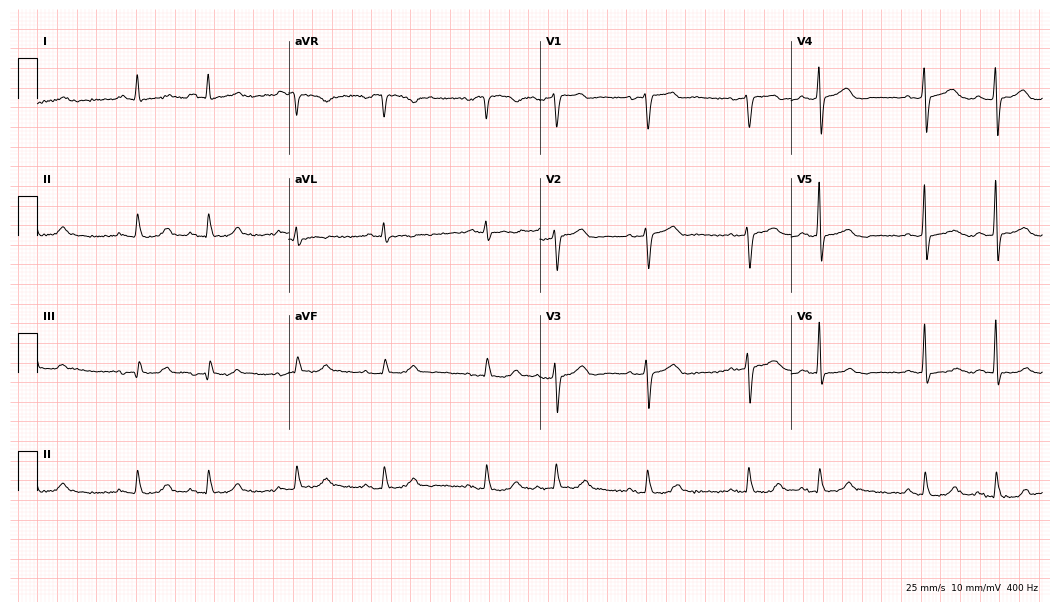
Standard 12-lead ECG recorded from a female, 67 years old (10.2-second recording at 400 Hz). None of these six findings is recorded: first-degree AV block, right bundle branch block, left bundle branch block, sinus bradycardia, atrial fibrillation, sinus tachycardia. Only these six findings were labelled.